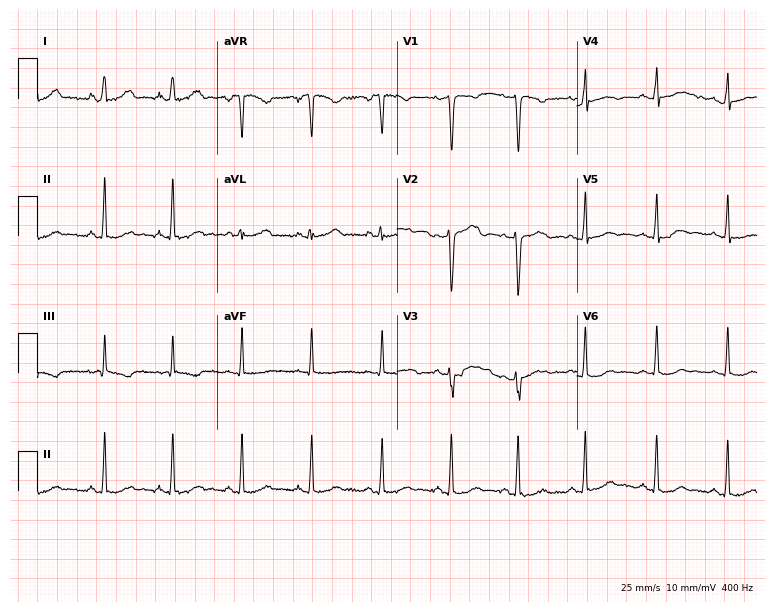
Electrocardiogram, a 24-year-old woman. Overall reading on record: normal ECG.